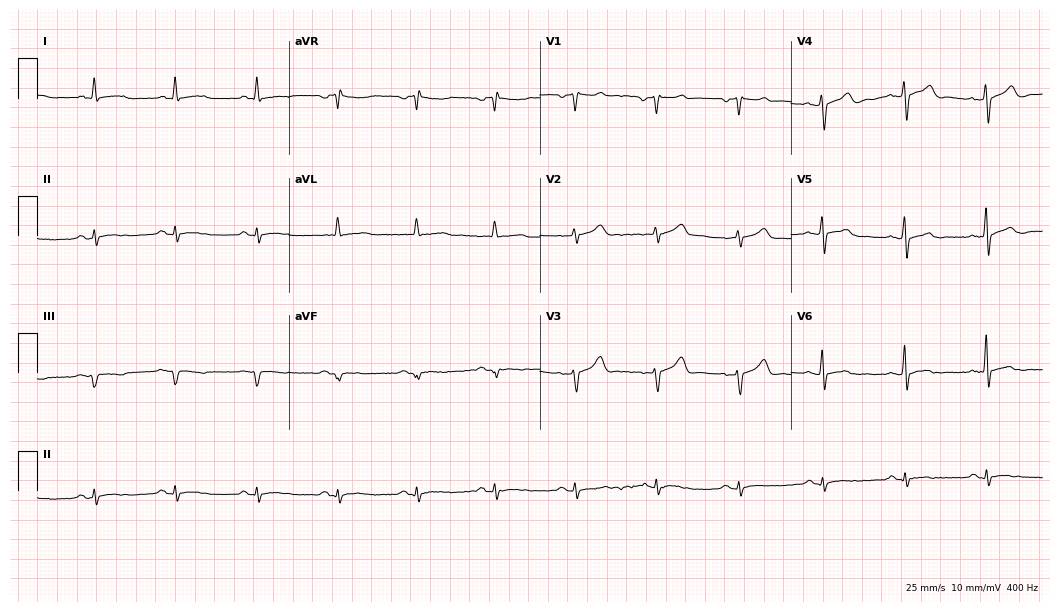
12-lead ECG from a 45-year-old male. Labelled as a normal ECG.